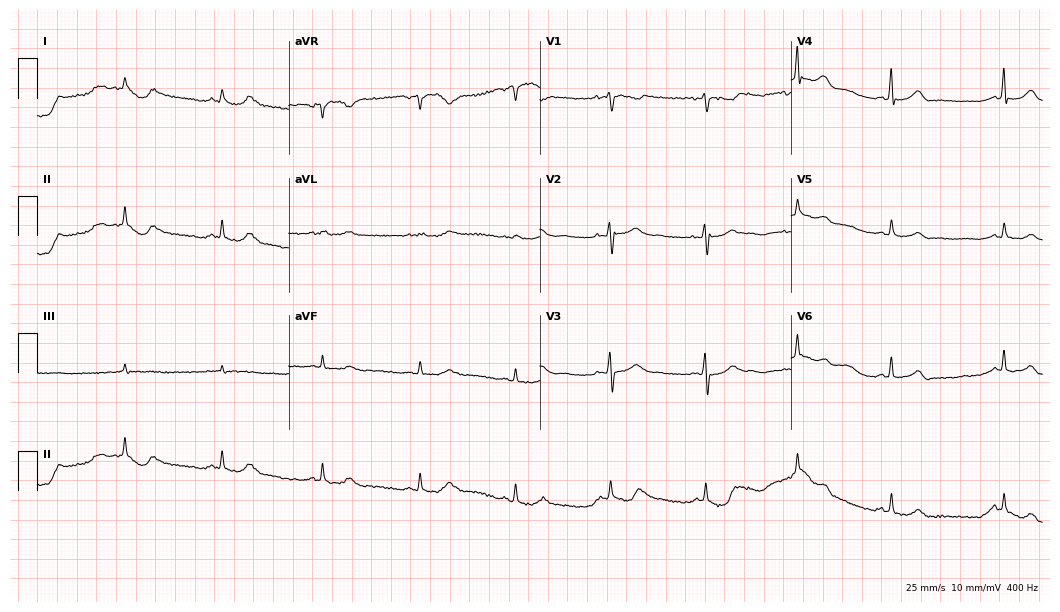
Standard 12-lead ECG recorded from a female, 52 years old (10.2-second recording at 400 Hz). None of these six findings is recorded: first-degree AV block, right bundle branch block, left bundle branch block, sinus bradycardia, atrial fibrillation, sinus tachycardia.